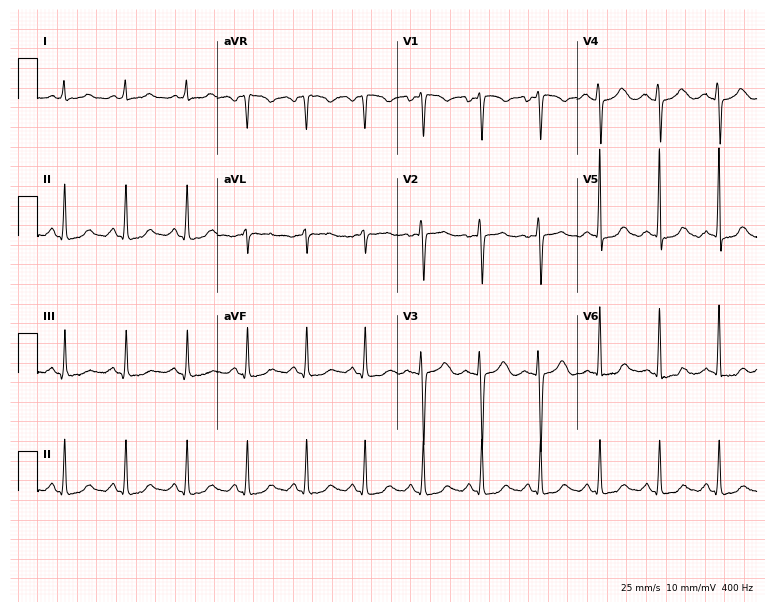
12-lead ECG from a 26-year-old woman. No first-degree AV block, right bundle branch block, left bundle branch block, sinus bradycardia, atrial fibrillation or sinus tachycardia recorded for this tracing.